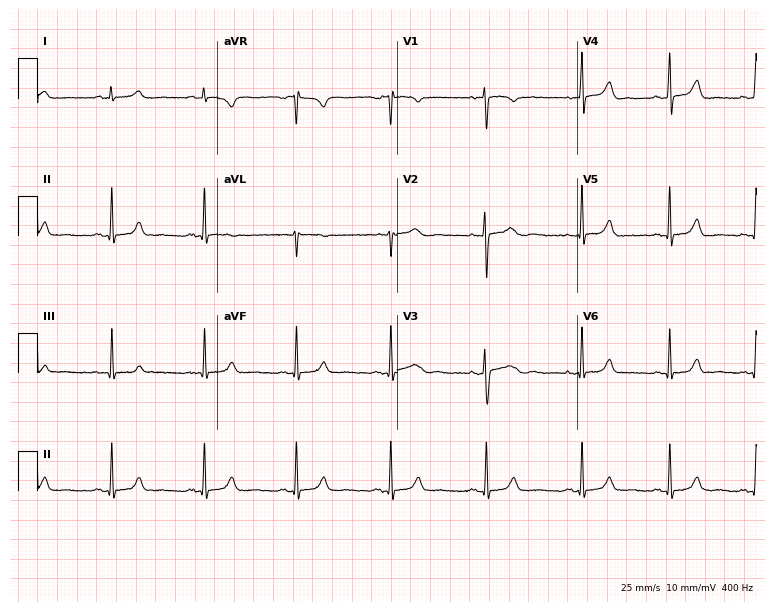
Resting 12-lead electrocardiogram. Patient: a 27-year-old female. Read as a normal ECG.